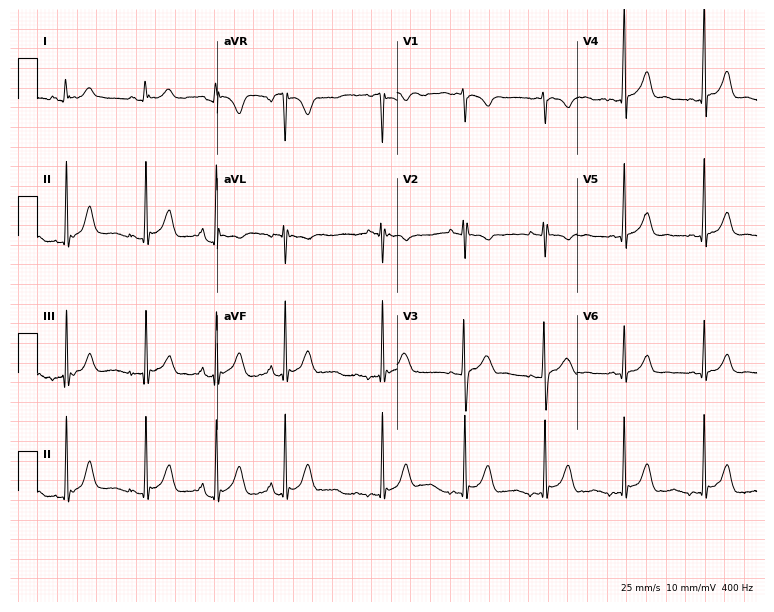
ECG (7.3-second recording at 400 Hz) — a male patient, 18 years old. Labelled as a normal ECG.